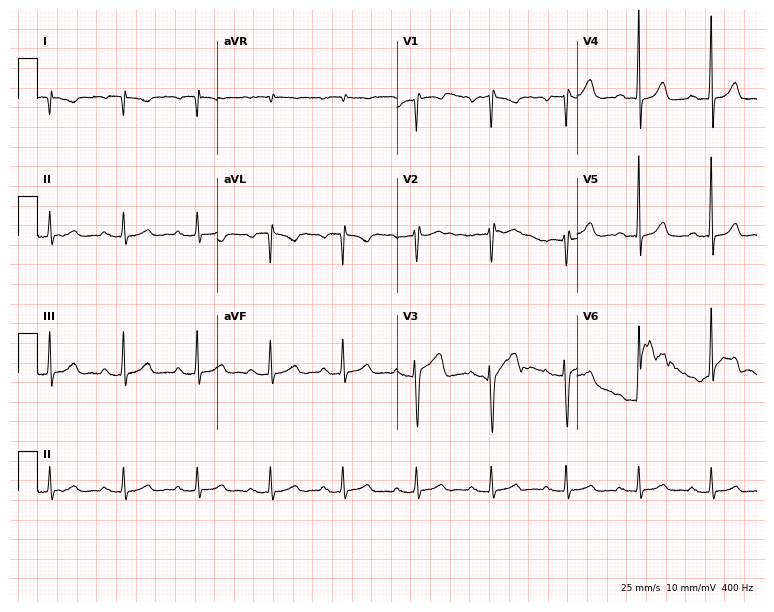
12-lead ECG from a female patient, 41 years old. No first-degree AV block, right bundle branch block, left bundle branch block, sinus bradycardia, atrial fibrillation or sinus tachycardia recorded for this tracing.